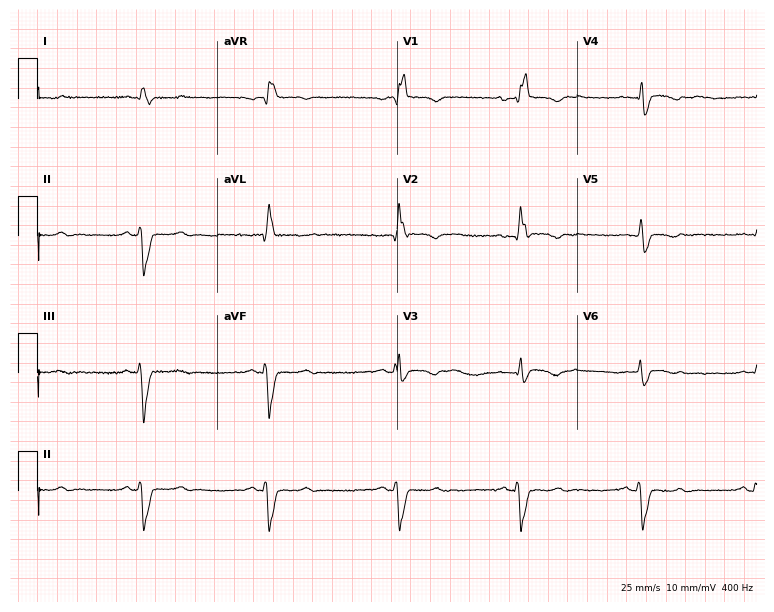
ECG — a man, 41 years old. Findings include right bundle branch block, sinus bradycardia (a sinus rate of 50 beats per minute or less).